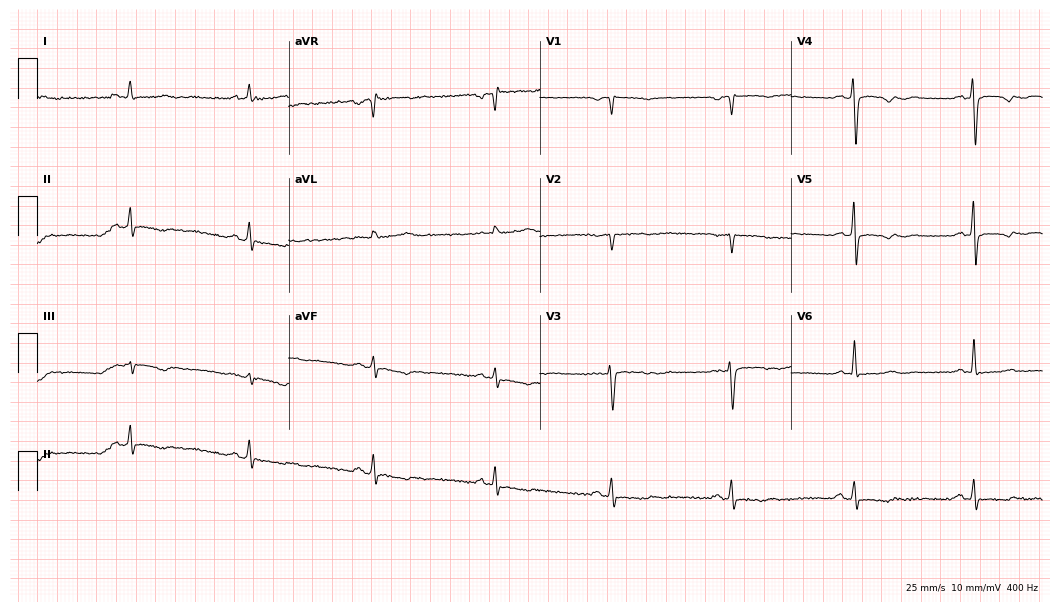
Electrocardiogram, a 62-year-old woman. Interpretation includes sinus bradycardia (a sinus rate of 50 beats per minute or less).